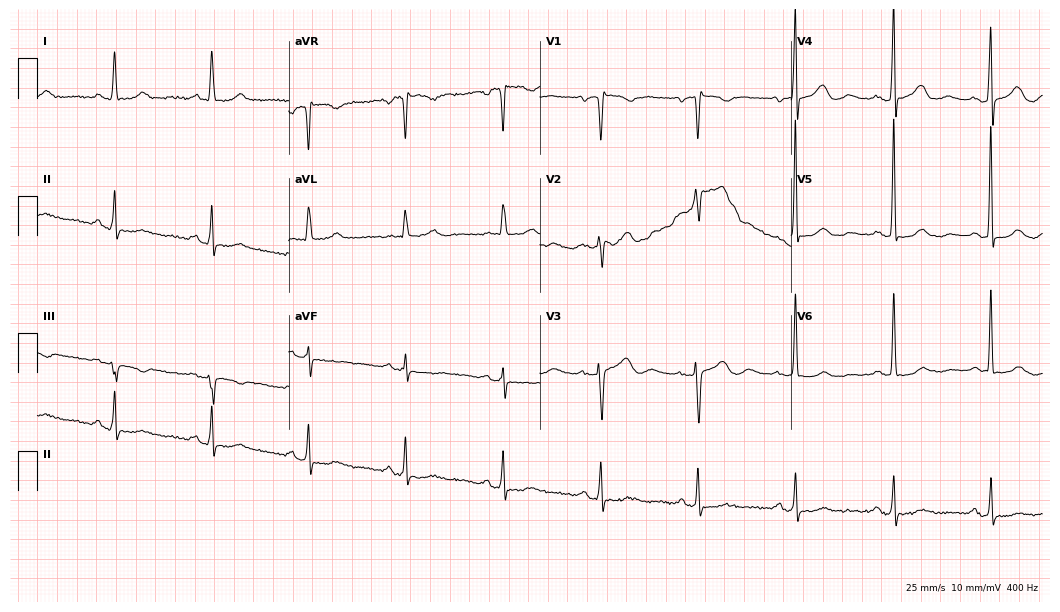
12-lead ECG from a 75-year-old female patient. Recorded interpretation: within normal limits.